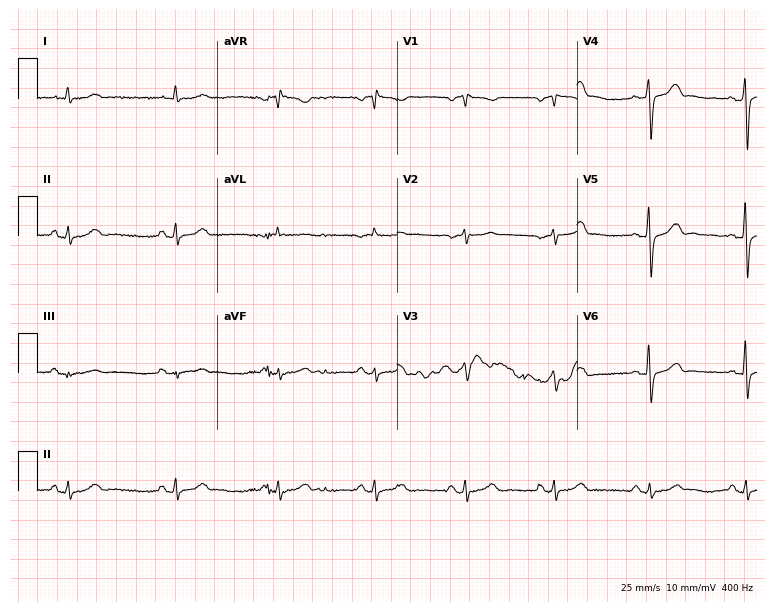
Standard 12-lead ECG recorded from a man, 74 years old (7.3-second recording at 400 Hz). Read as a normal ECG.